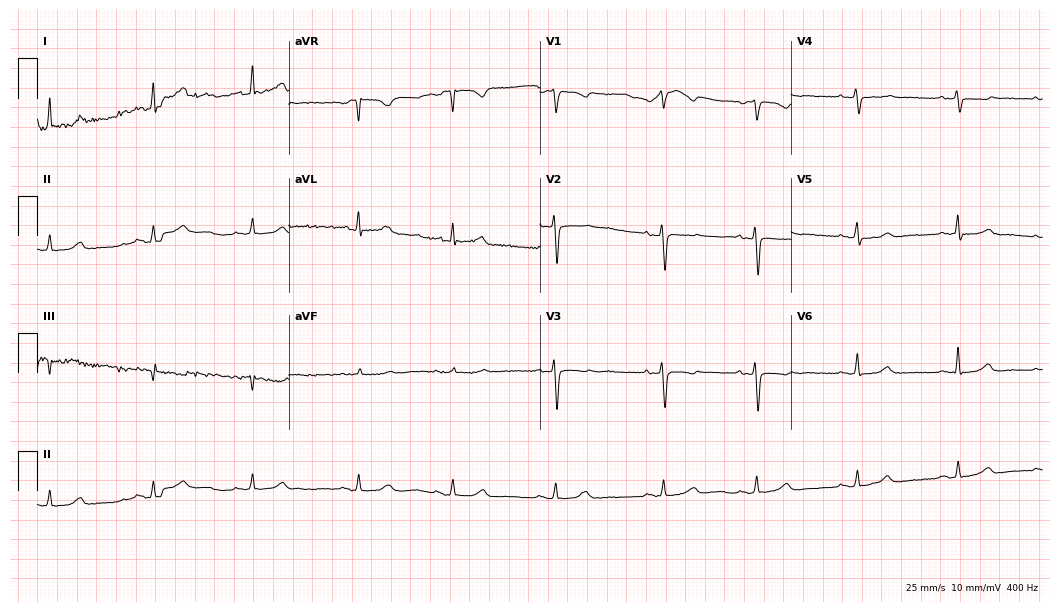
12-lead ECG from a 45-year-old woman. Recorded interpretation: within normal limits.